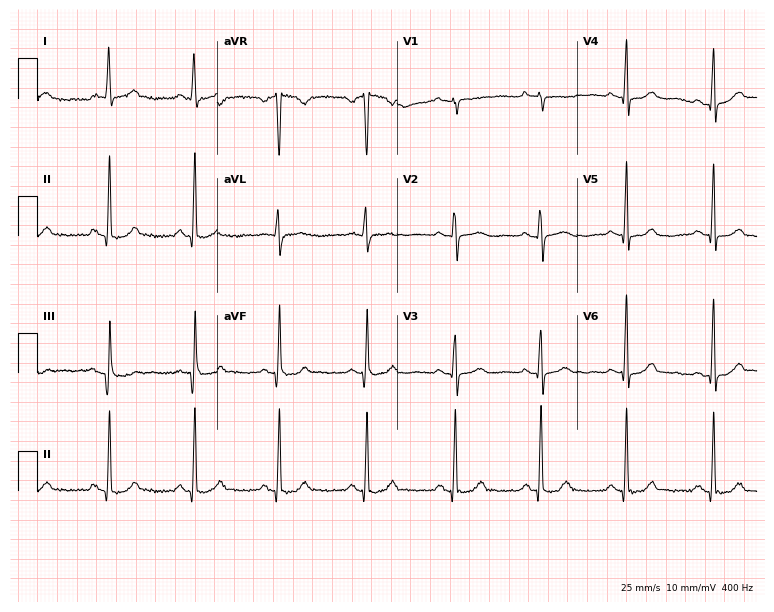
12-lead ECG from a woman, 43 years old (7.3-second recording at 400 Hz). Recorded interpretation: within normal limits.